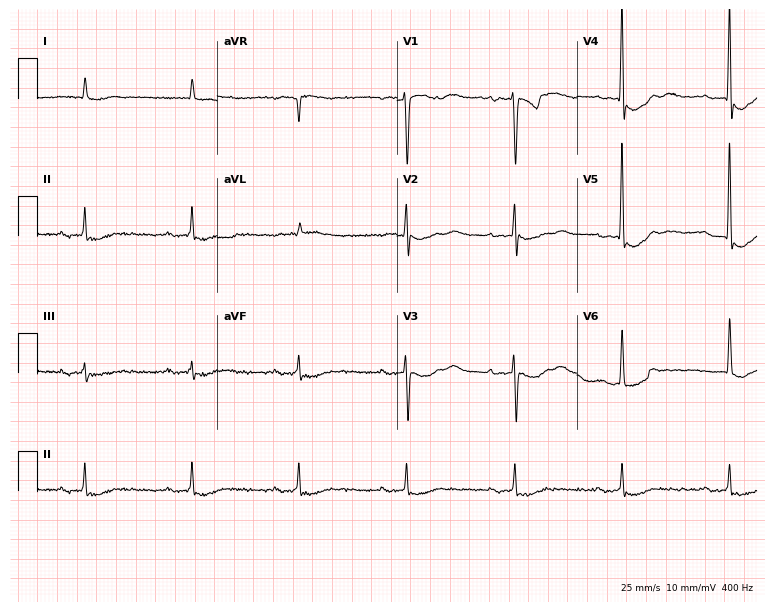
12-lead ECG from an 83-year-old female. Shows first-degree AV block.